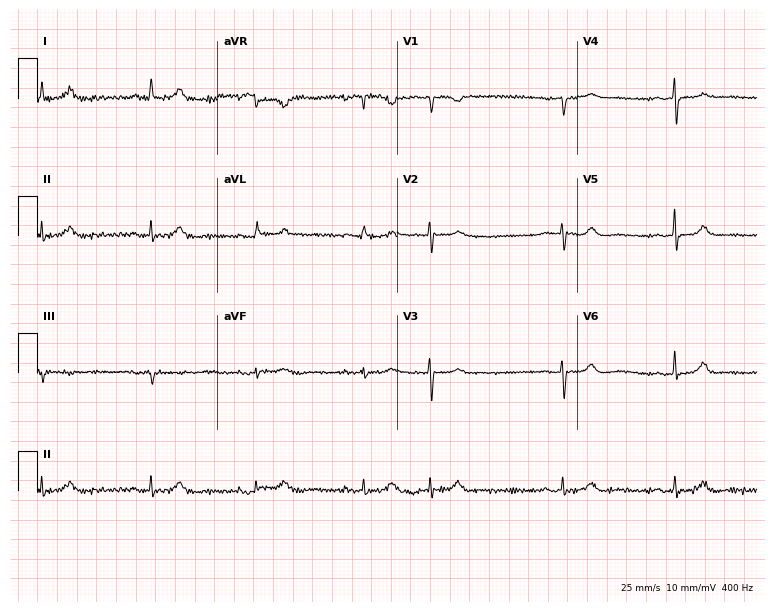
12-lead ECG from a female patient, 67 years old. Screened for six findings — first-degree AV block, right bundle branch block, left bundle branch block, sinus bradycardia, atrial fibrillation, sinus tachycardia — none is recorded.